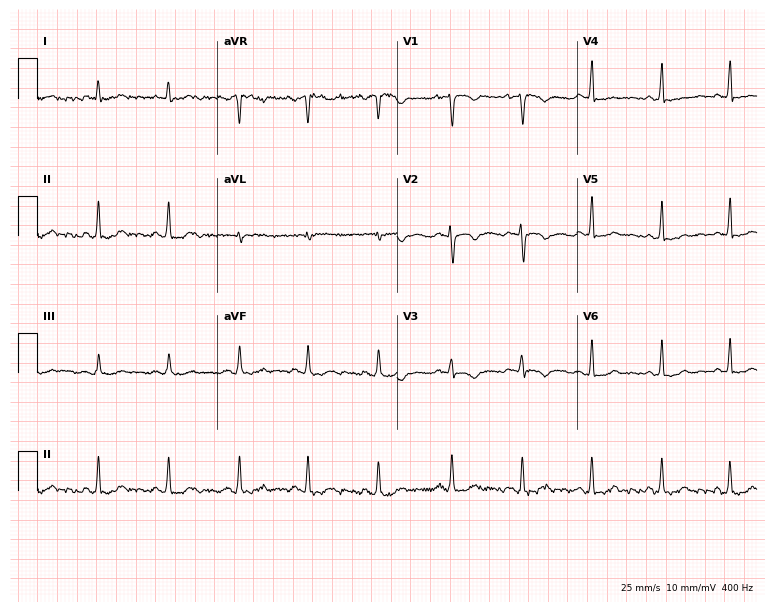
Standard 12-lead ECG recorded from a female patient, 30 years old (7.3-second recording at 400 Hz). None of these six findings is recorded: first-degree AV block, right bundle branch block, left bundle branch block, sinus bradycardia, atrial fibrillation, sinus tachycardia. Findings outside these six are not listed.